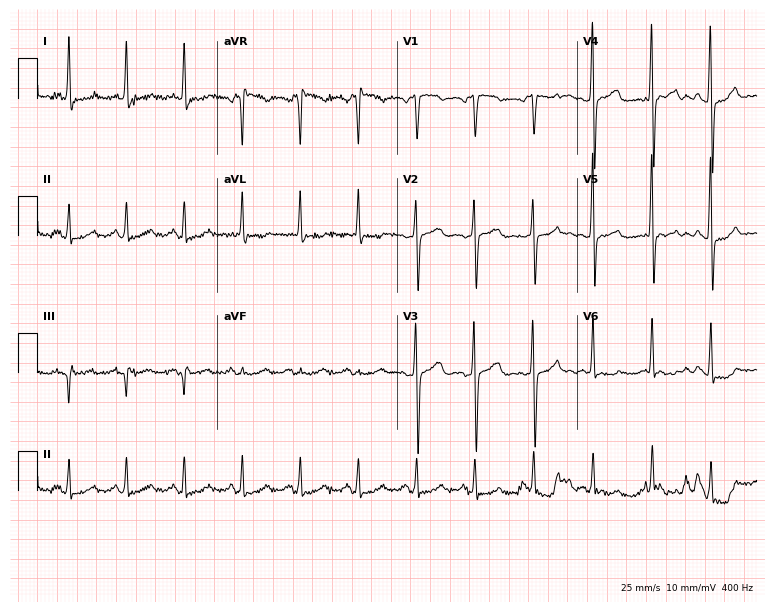
Standard 12-lead ECG recorded from a female patient, 51 years old (7.3-second recording at 400 Hz). The tracing shows sinus tachycardia (a sinus rate of 100 beats per minute or more).